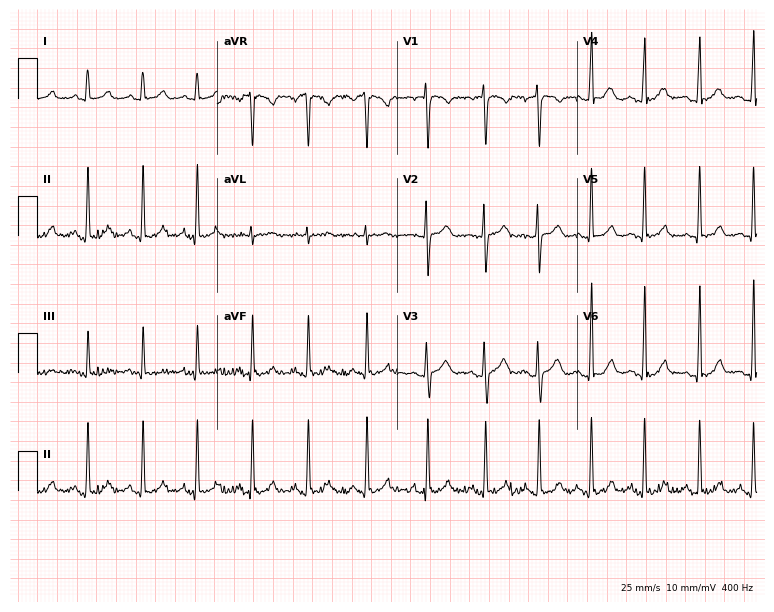
12-lead ECG from a 21-year-old female patient (7.3-second recording at 400 Hz). Shows sinus tachycardia (a sinus rate of 100 beats per minute or more).